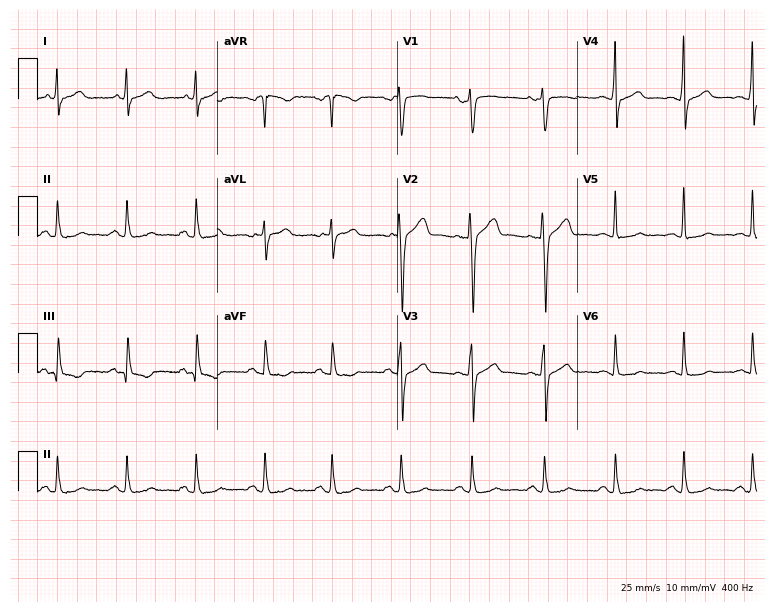
Standard 12-lead ECG recorded from a female, 32 years old (7.3-second recording at 400 Hz). Read as a normal ECG.